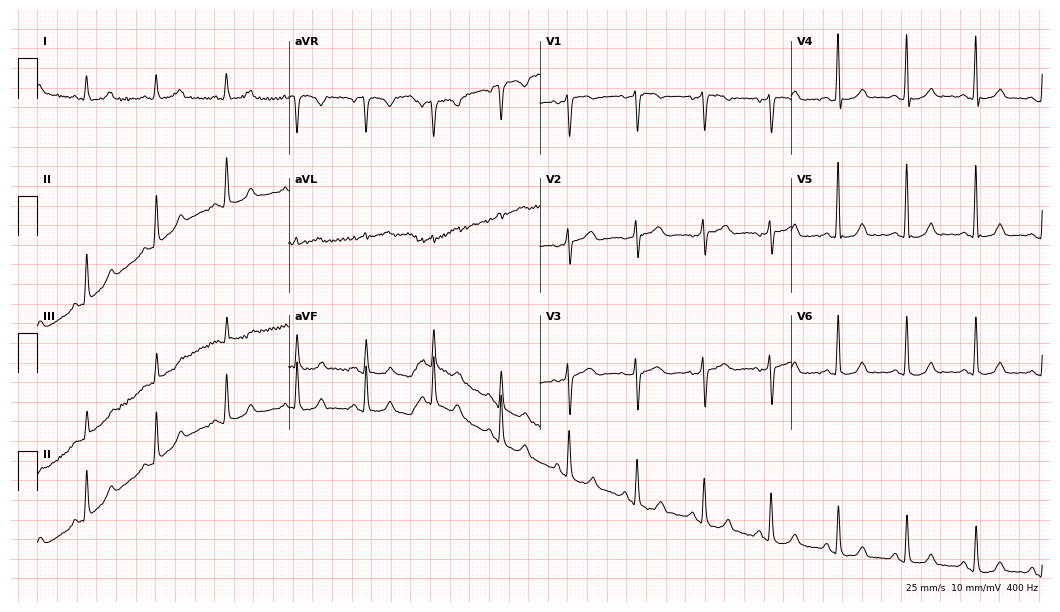
Resting 12-lead electrocardiogram. Patient: a 62-year-old woman. Read as a normal ECG.